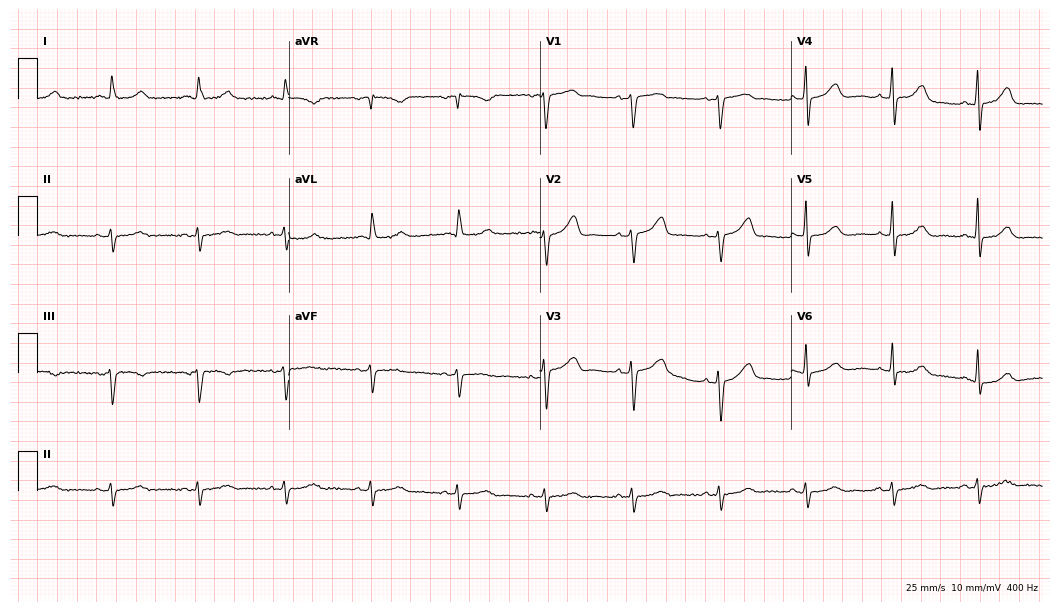
12-lead ECG from an 84-year-old female. Screened for six findings — first-degree AV block, right bundle branch block (RBBB), left bundle branch block (LBBB), sinus bradycardia, atrial fibrillation (AF), sinus tachycardia — none is recorded. Findings outside these six are not listed.